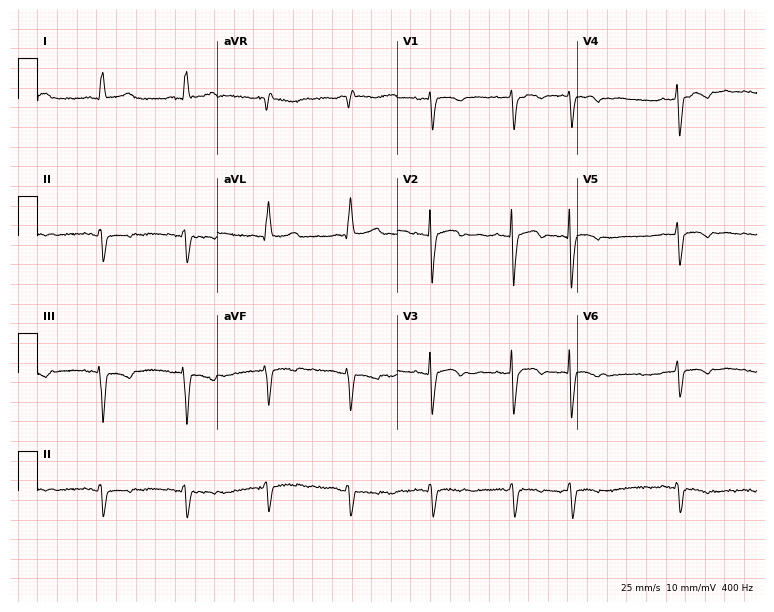
ECG (7.3-second recording at 400 Hz) — a woman, 81 years old. Screened for six findings — first-degree AV block, right bundle branch block (RBBB), left bundle branch block (LBBB), sinus bradycardia, atrial fibrillation (AF), sinus tachycardia — none is recorded.